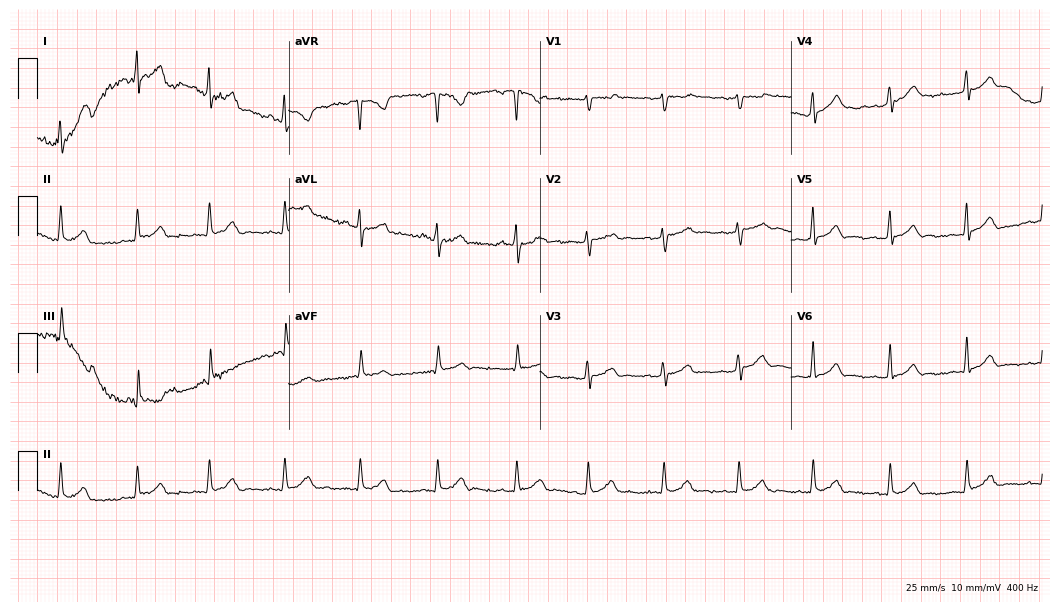
12-lead ECG (10.2-second recording at 400 Hz) from a female, 18 years old. Screened for six findings — first-degree AV block, right bundle branch block (RBBB), left bundle branch block (LBBB), sinus bradycardia, atrial fibrillation (AF), sinus tachycardia — none is recorded. Only these six findings were labelled.